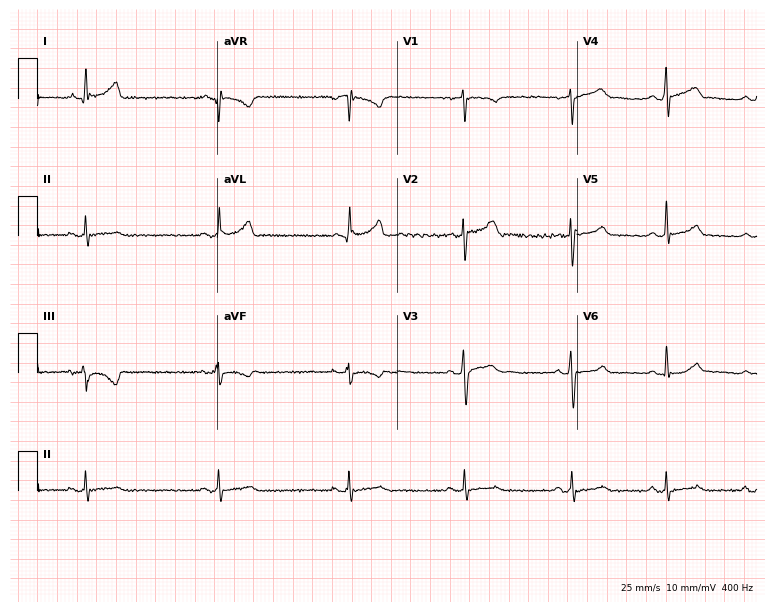
Standard 12-lead ECG recorded from a male patient, 26 years old (7.3-second recording at 400 Hz). The tracing shows sinus bradycardia (a sinus rate of 50 beats per minute or less).